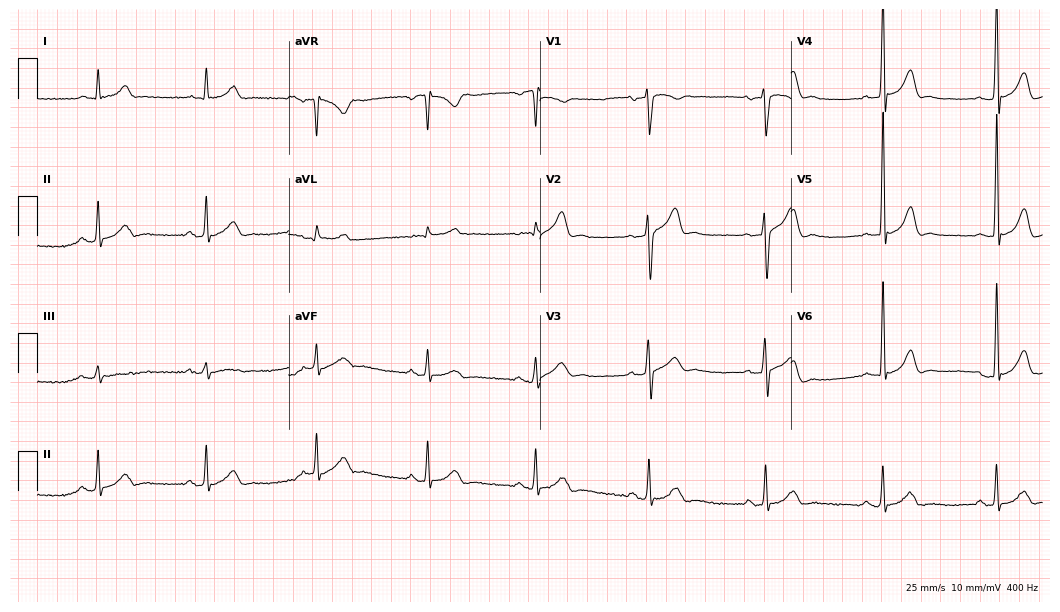
12-lead ECG from a male patient, 38 years old. Labelled as a normal ECG.